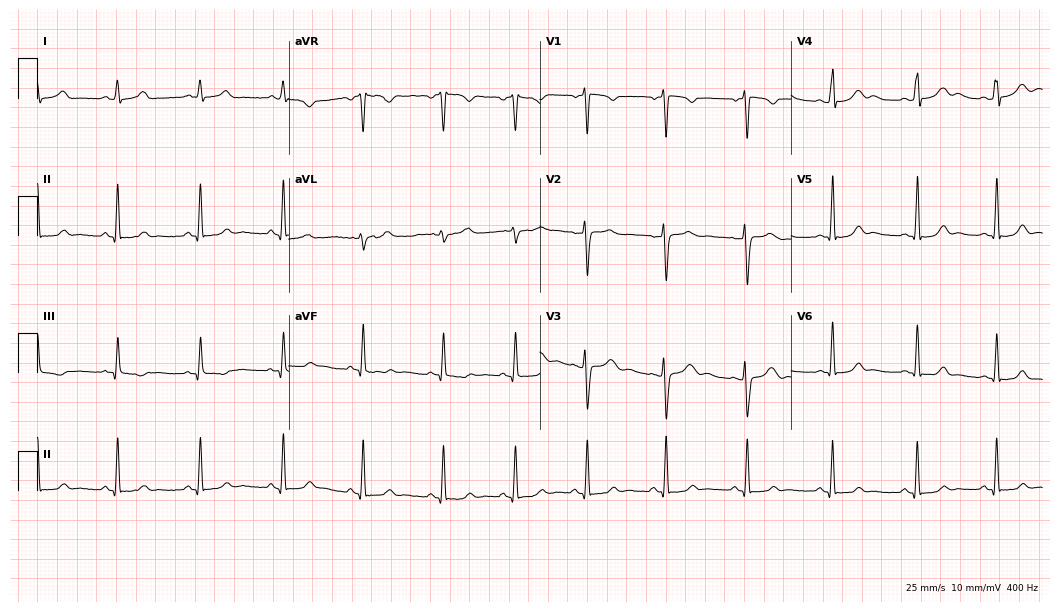
ECG — a 23-year-old woman. Labelled as a normal ECG.